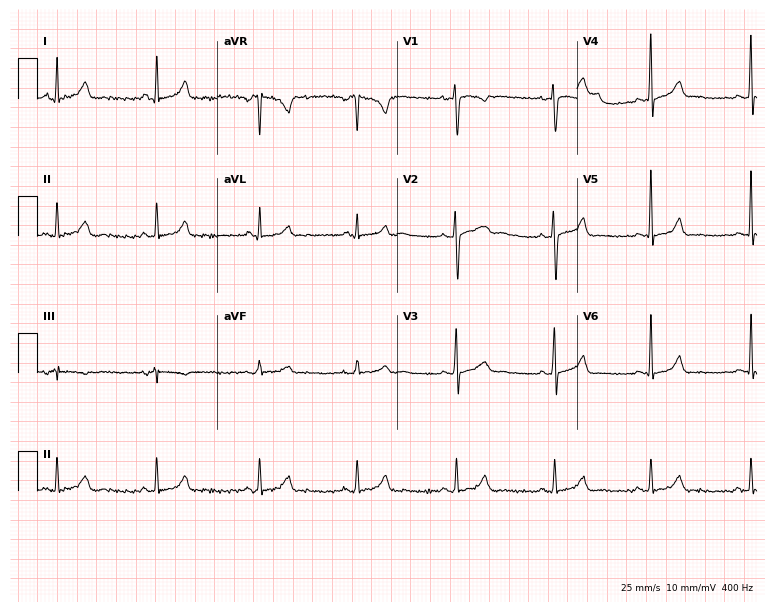
12-lead ECG from a female, 27 years old. Recorded interpretation: within normal limits.